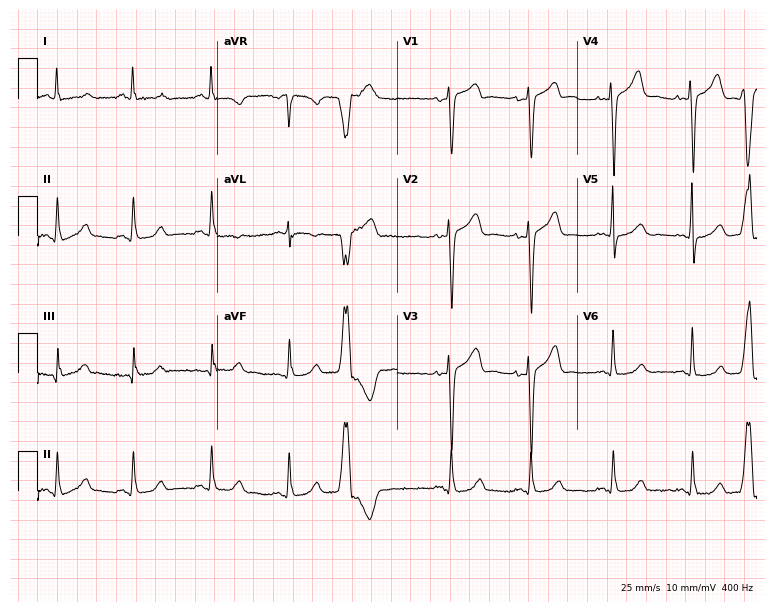
ECG (7.3-second recording at 400 Hz) — a female patient, 20 years old. Screened for six findings — first-degree AV block, right bundle branch block, left bundle branch block, sinus bradycardia, atrial fibrillation, sinus tachycardia — none is recorded.